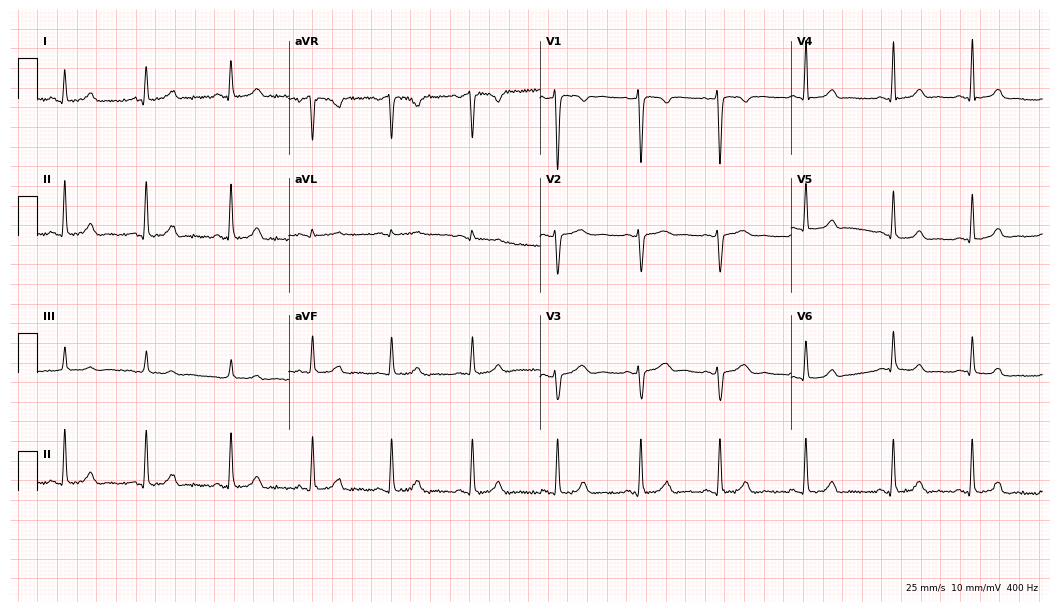
Standard 12-lead ECG recorded from a female patient, 22 years old (10.2-second recording at 400 Hz). None of these six findings is recorded: first-degree AV block, right bundle branch block, left bundle branch block, sinus bradycardia, atrial fibrillation, sinus tachycardia.